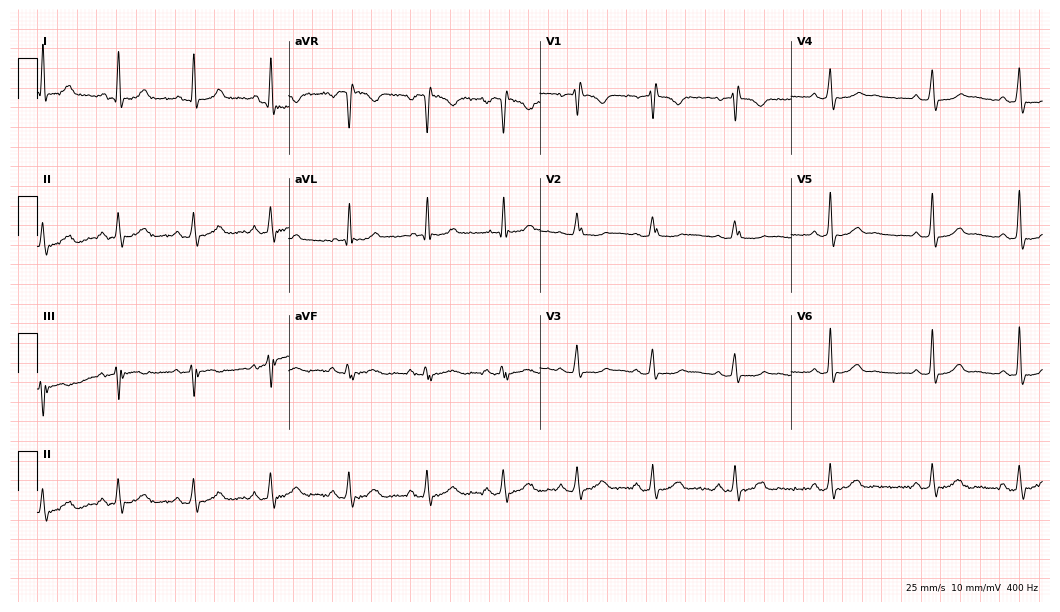
12-lead ECG from a 40-year-old female patient (10.2-second recording at 400 Hz). No first-degree AV block, right bundle branch block, left bundle branch block, sinus bradycardia, atrial fibrillation or sinus tachycardia recorded for this tracing.